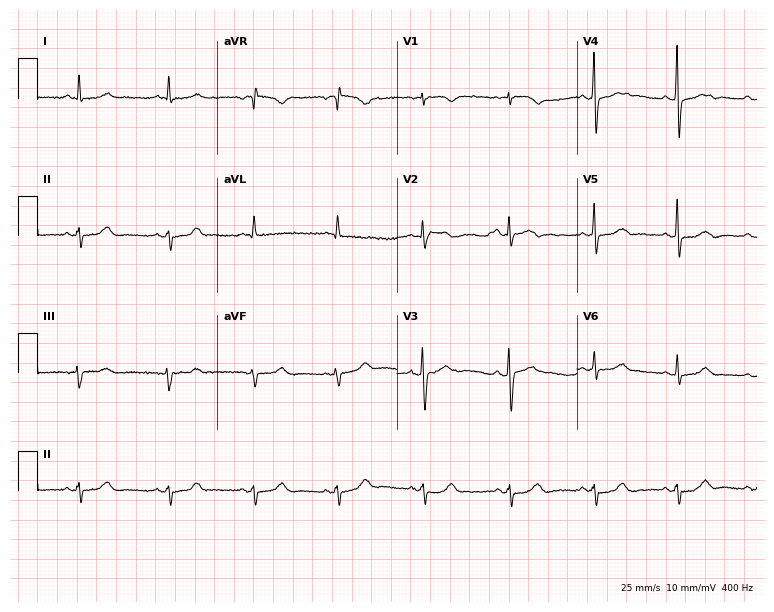
12-lead ECG (7.3-second recording at 400 Hz) from a 56-year-old female. Screened for six findings — first-degree AV block, right bundle branch block, left bundle branch block, sinus bradycardia, atrial fibrillation, sinus tachycardia — none is recorded. Only these six findings were labelled.